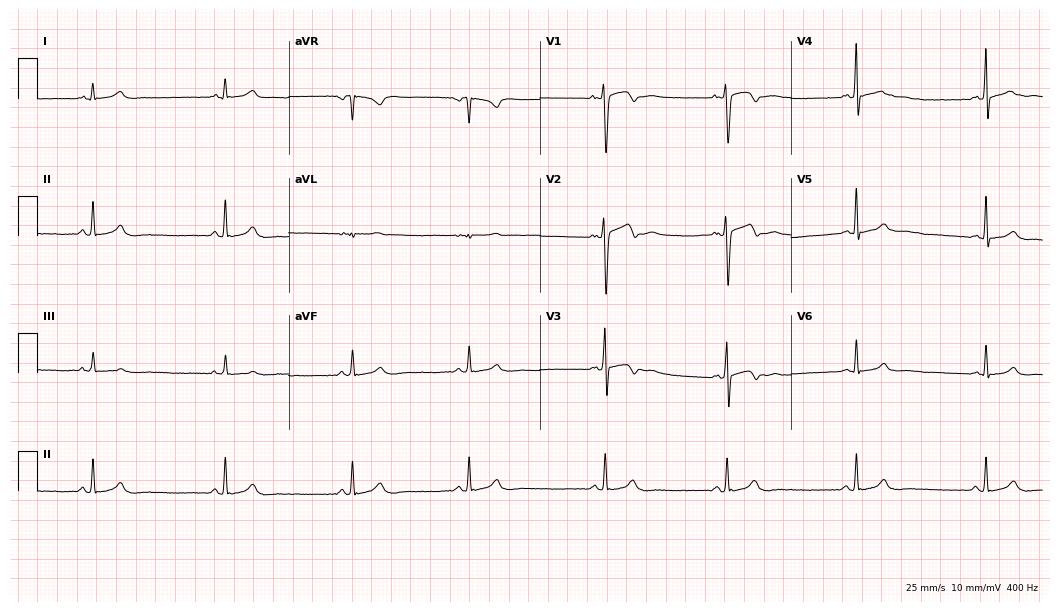
Resting 12-lead electrocardiogram (10.2-second recording at 400 Hz). Patient: a female, 18 years old. Read as a normal ECG.